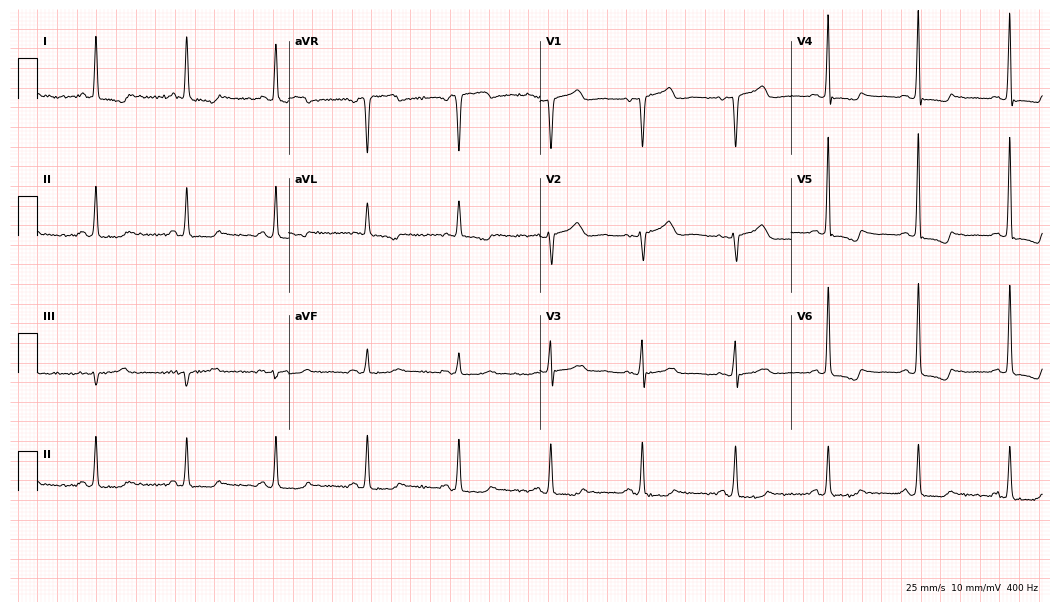
Standard 12-lead ECG recorded from a 72-year-old male patient. None of these six findings is recorded: first-degree AV block, right bundle branch block, left bundle branch block, sinus bradycardia, atrial fibrillation, sinus tachycardia.